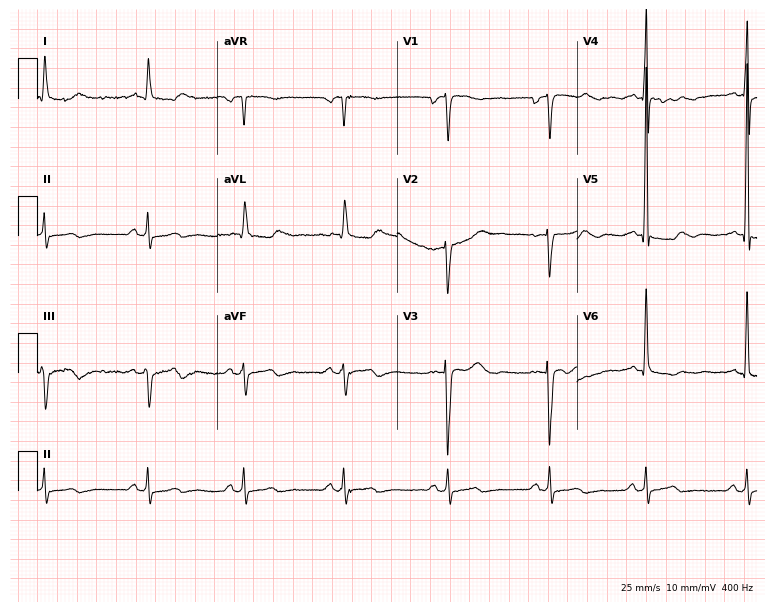
Electrocardiogram, a male, 72 years old. Of the six screened findings (first-degree AV block, right bundle branch block, left bundle branch block, sinus bradycardia, atrial fibrillation, sinus tachycardia), none is recorded. Only these six findings were labelled.